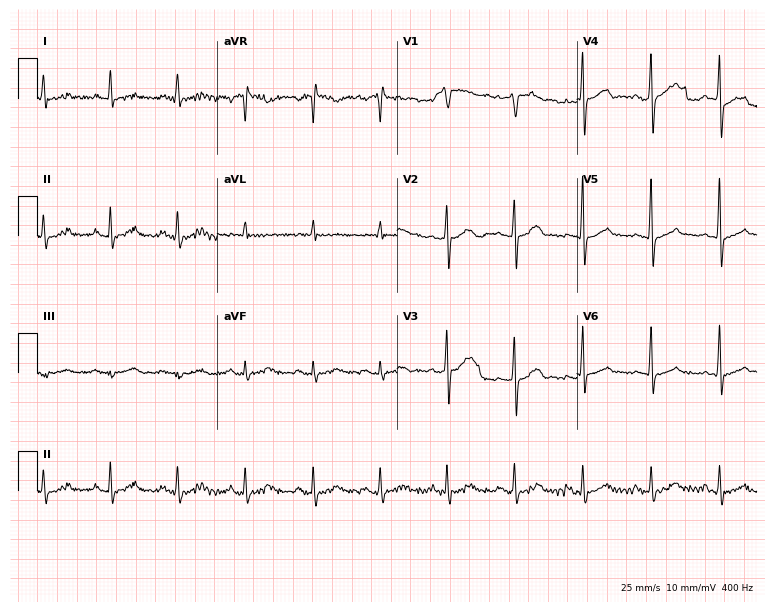
12-lead ECG (7.3-second recording at 400 Hz) from a 76-year-old male. Labelled as a normal ECG.